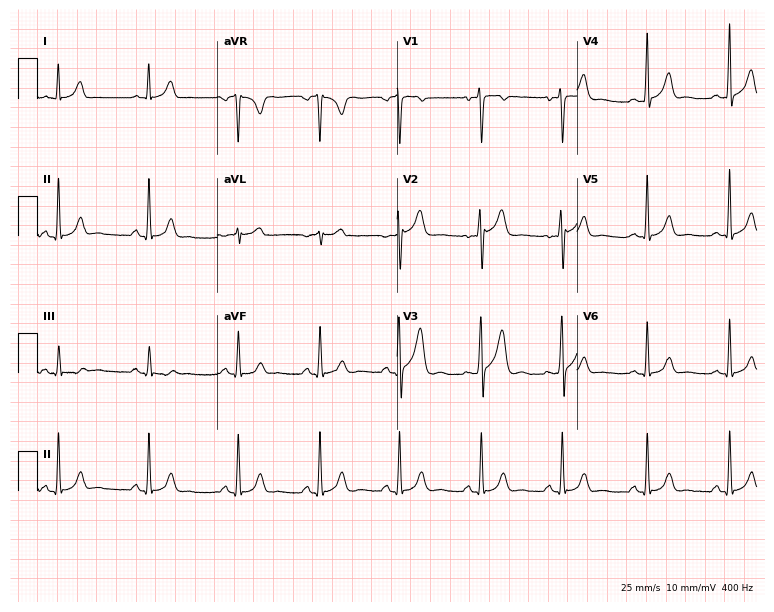
Electrocardiogram (7.3-second recording at 400 Hz), a 29-year-old male. Overall reading on record: normal ECG.